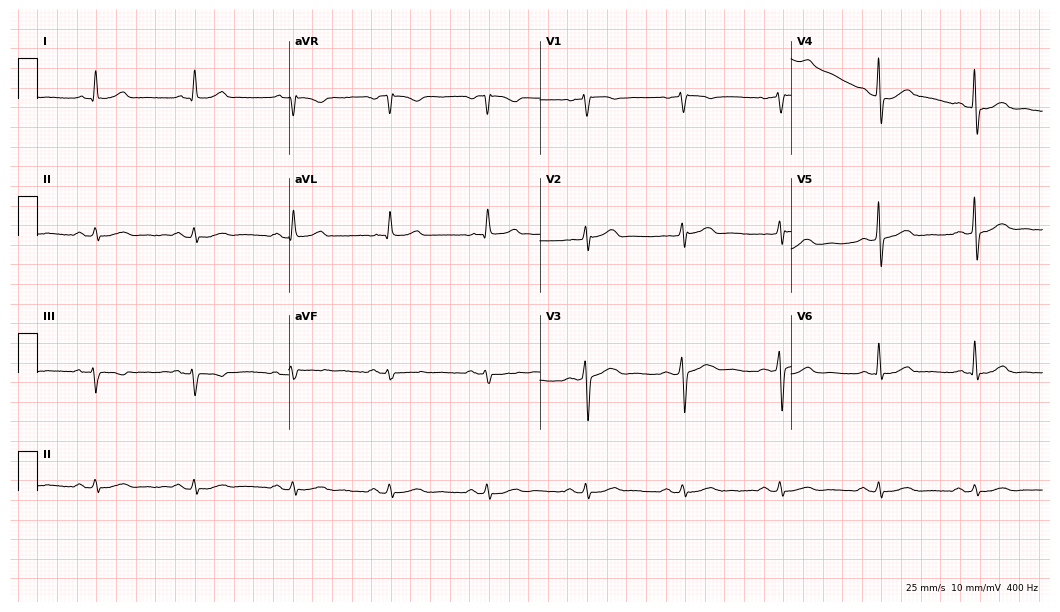
12-lead ECG from a 74-year-old male. Recorded interpretation: within normal limits.